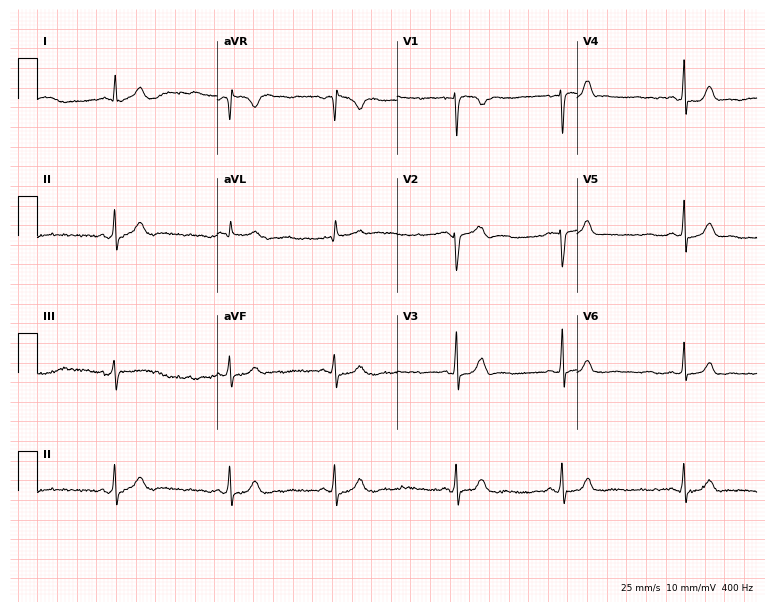
Standard 12-lead ECG recorded from a female, 20 years old. None of these six findings is recorded: first-degree AV block, right bundle branch block (RBBB), left bundle branch block (LBBB), sinus bradycardia, atrial fibrillation (AF), sinus tachycardia. Findings outside these six are not listed.